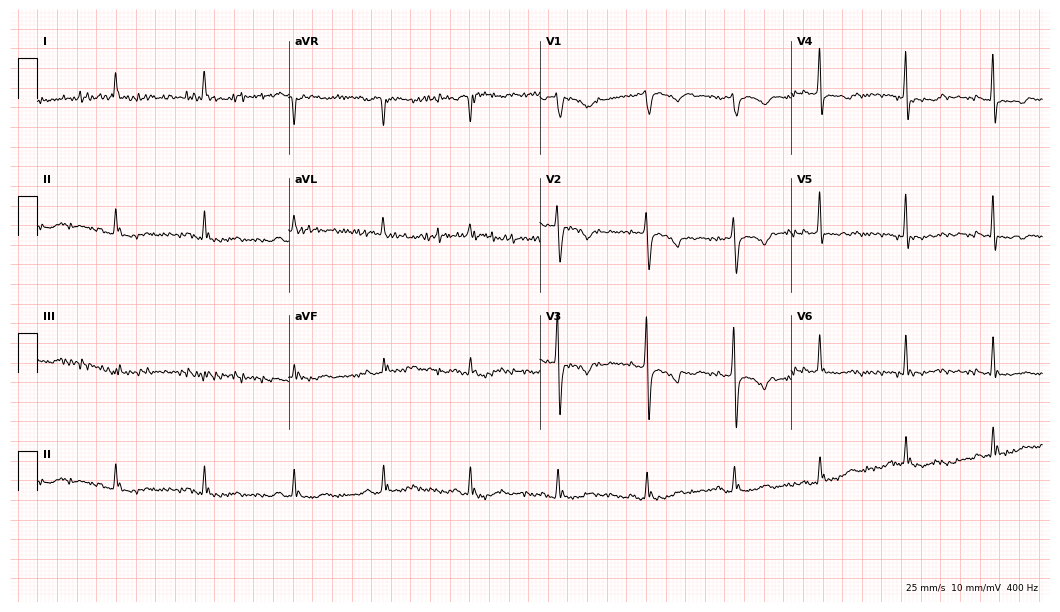
12-lead ECG from a 68-year-old female. No first-degree AV block, right bundle branch block, left bundle branch block, sinus bradycardia, atrial fibrillation or sinus tachycardia recorded for this tracing.